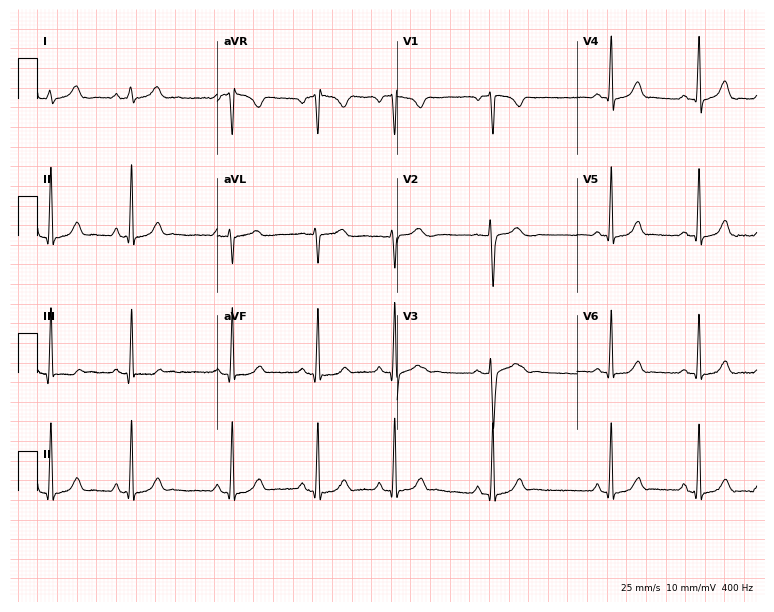
12-lead ECG from a woman, 21 years old. Labelled as a normal ECG.